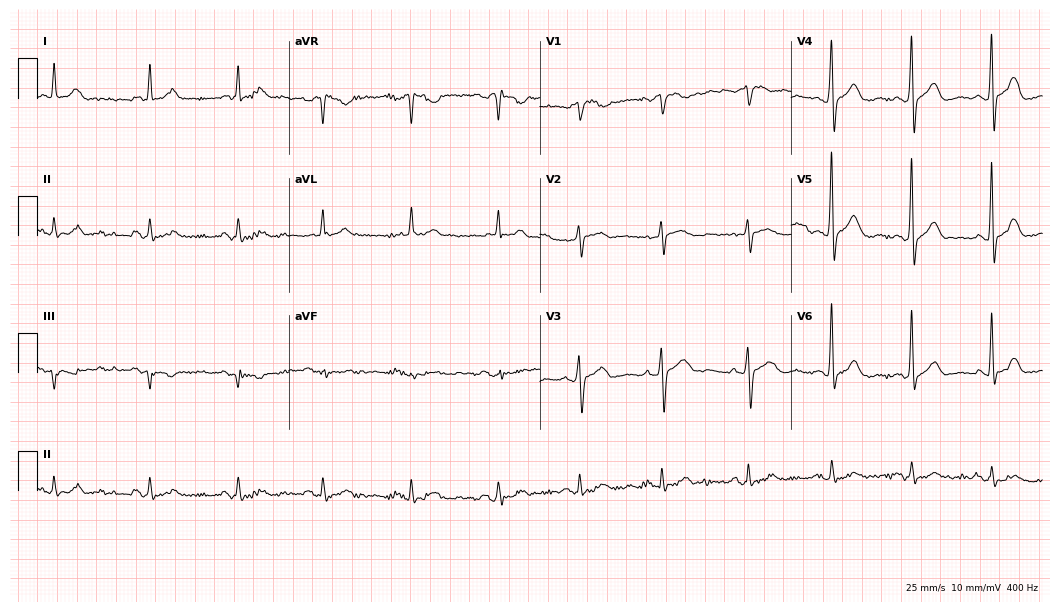
Electrocardiogram (10.2-second recording at 400 Hz), a 77-year-old man. Overall reading on record: normal ECG.